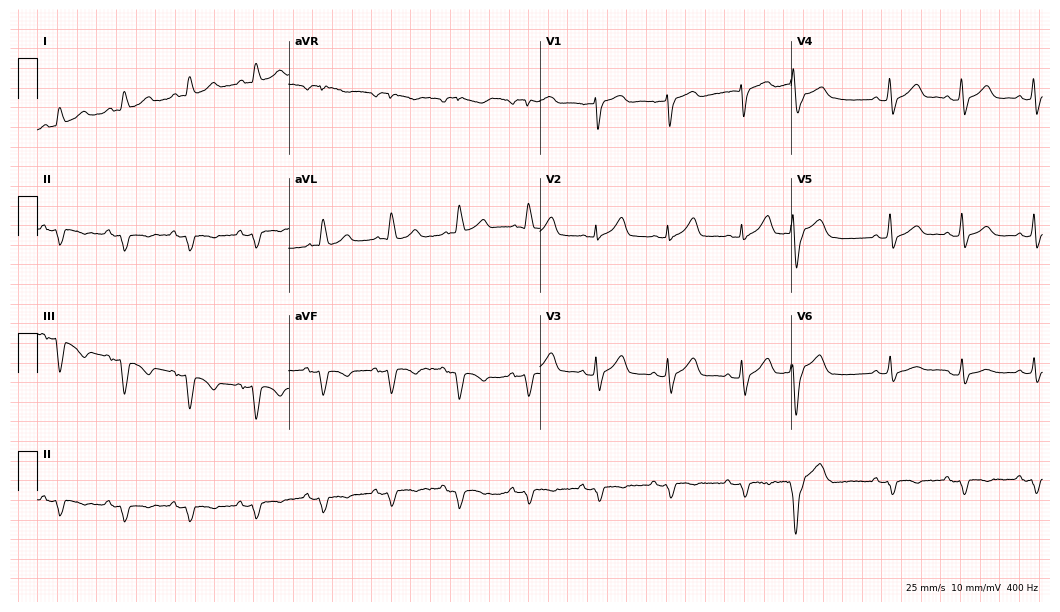
12-lead ECG from a male patient, 76 years old. No first-degree AV block, right bundle branch block, left bundle branch block, sinus bradycardia, atrial fibrillation or sinus tachycardia recorded for this tracing. Only these six findings were labelled.